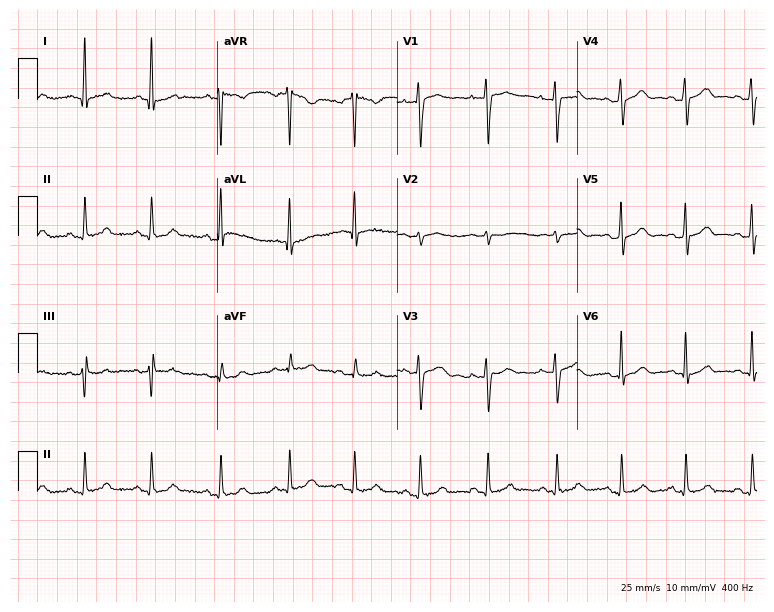
Resting 12-lead electrocardiogram (7.3-second recording at 400 Hz). Patient: a female, 39 years old. Read as a normal ECG.